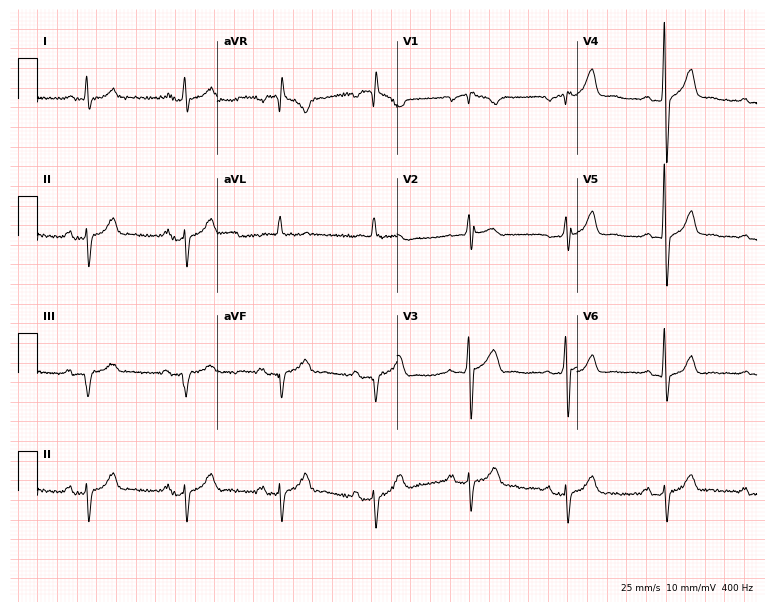
ECG (7.3-second recording at 400 Hz) — a man, 67 years old. Screened for six findings — first-degree AV block, right bundle branch block, left bundle branch block, sinus bradycardia, atrial fibrillation, sinus tachycardia — none is recorded. Findings outside these six are not listed.